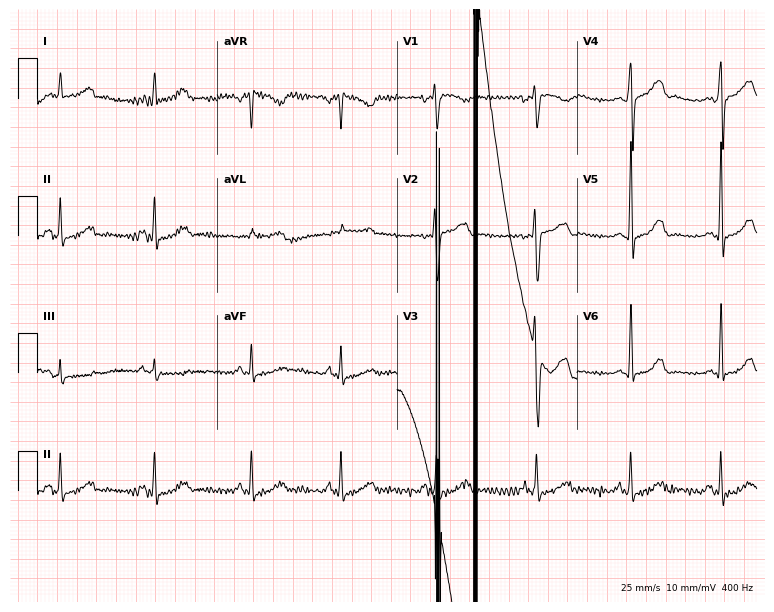
Standard 12-lead ECG recorded from a woman, 40 years old. Read as a normal ECG.